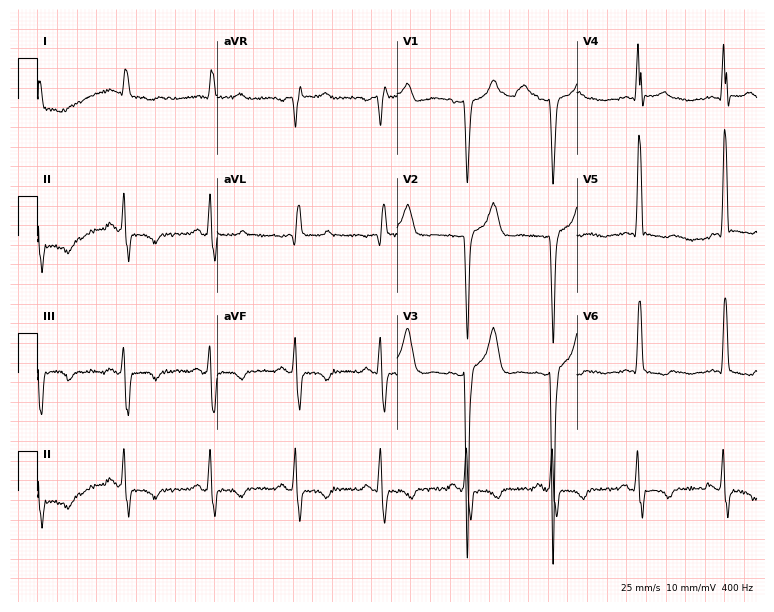
ECG (7.3-second recording at 400 Hz) — a 74-year-old man. Screened for six findings — first-degree AV block, right bundle branch block (RBBB), left bundle branch block (LBBB), sinus bradycardia, atrial fibrillation (AF), sinus tachycardia — none is recorded.